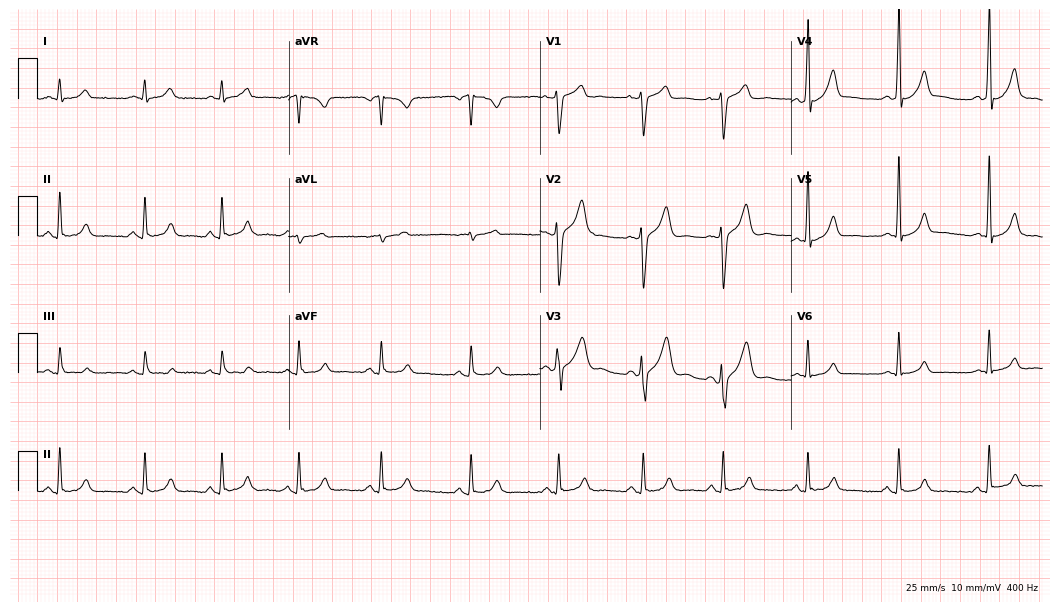
Electrocardiogram (10.2-second recording at 400 Hz), a male patient, 35 years old. Of the six screened findings (first-degree AV block, right bundle branch block, left bundle branch block, sinus bradycardia, atrial fibrillation, sinus tachycardia), none is recorded.